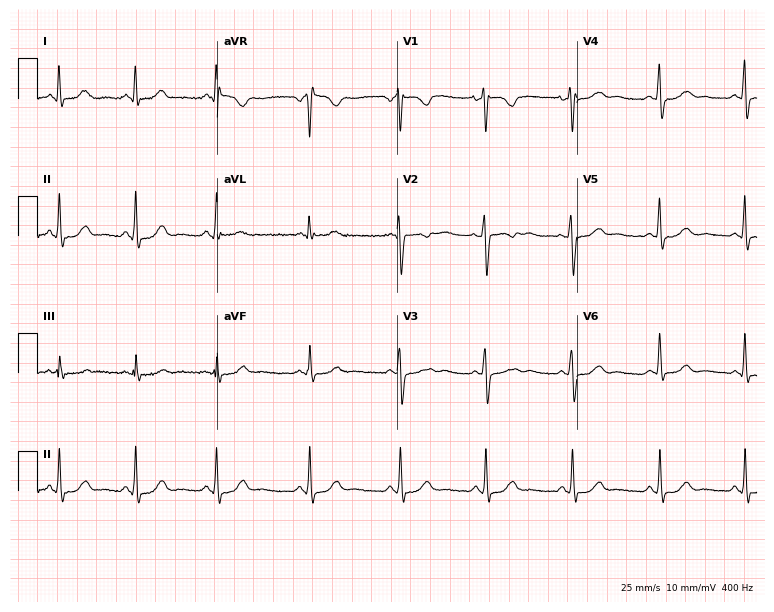
Resting 12-lead electrocardiogram (7.3-second recording at 400 Hz). Patient: a female, 52 years old. None of these six findings is recorded: first-degree AV block, right bundle branch block, left bundle branch block, sinus bradycardia, atrial fibrillation, sinus tachycardia. Other findings, if any, are not listed.